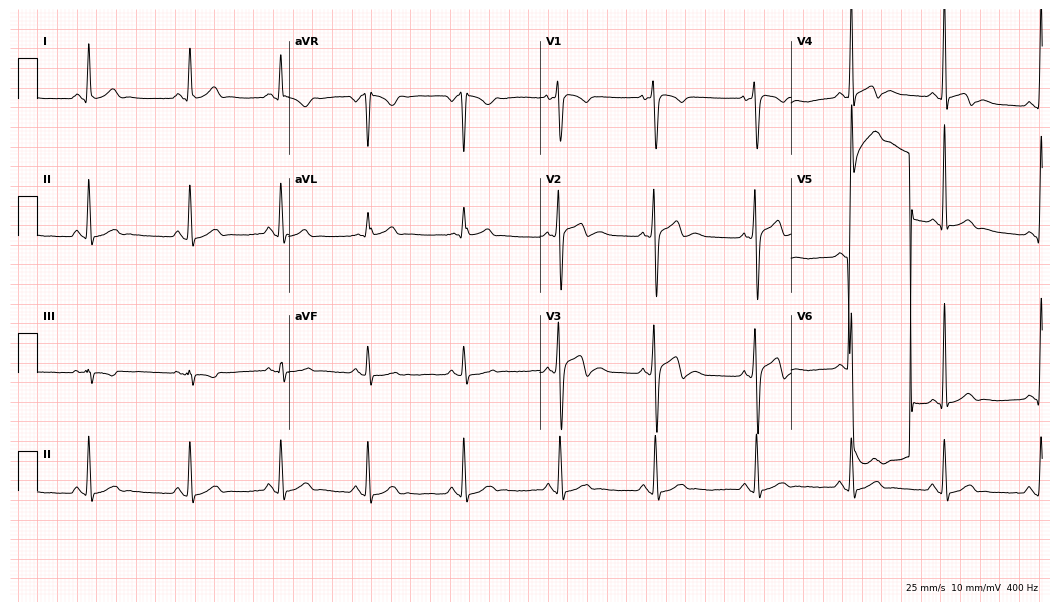
12-lead ECG from a 24-year-old male. Labelled as a normal ECG.